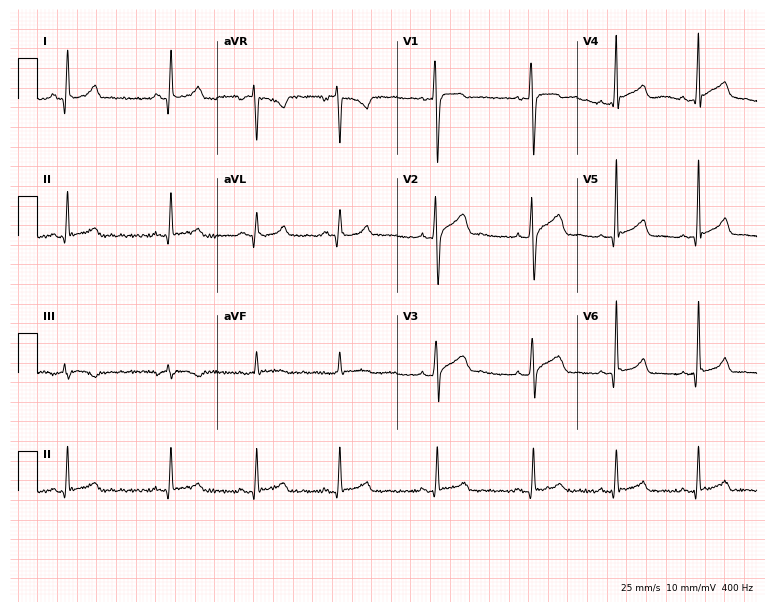
ECG (7.3-second recording at 400 Hz) — a man, 21 years old. Labelled as a normal ECG.